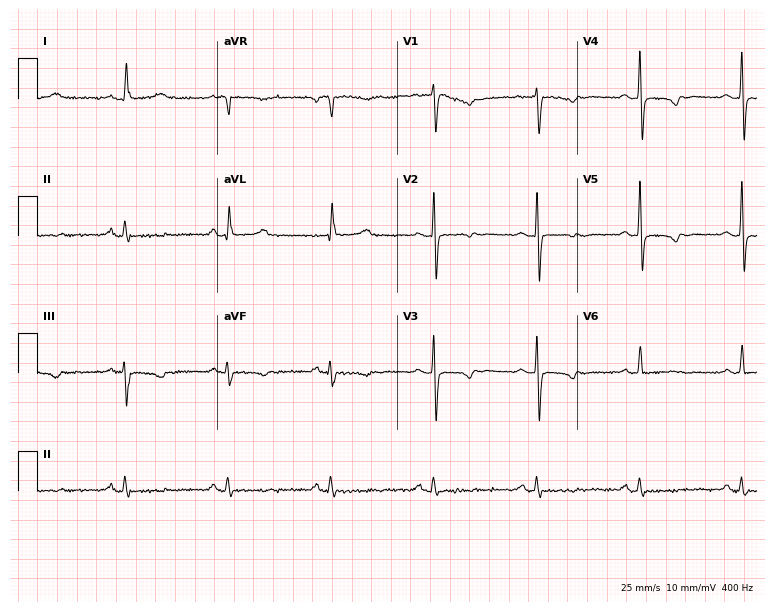
Standard 12-lead ECG recorded from a female patient, 61 years old (7.3-second recording at 400 Hz). None of these six findings is recorded: first-degree AV block, right bundle branch block, left bundle branch block, sinus bradycardia, atrial fibrillation, sinus tachycardia.